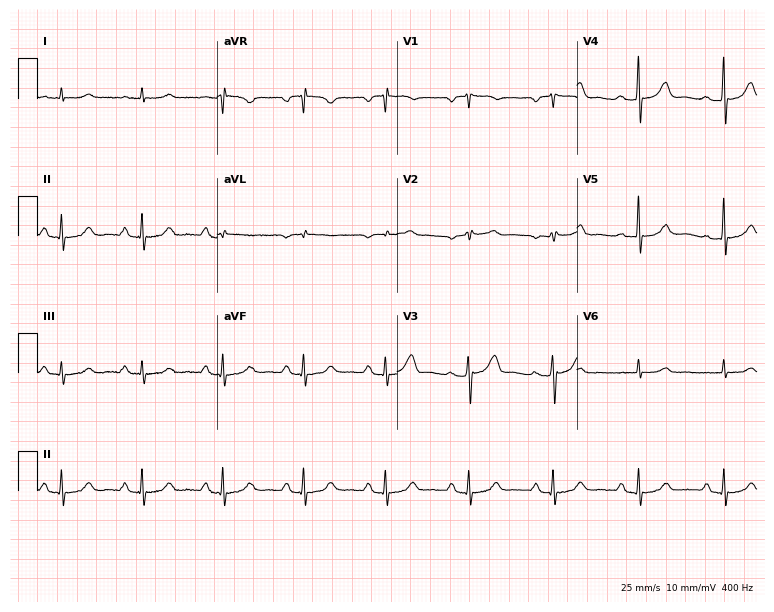
12-lead ECG (7.3-second recording at 400 Hz) from a man, 68 years old. Labelled as a normal ECG.